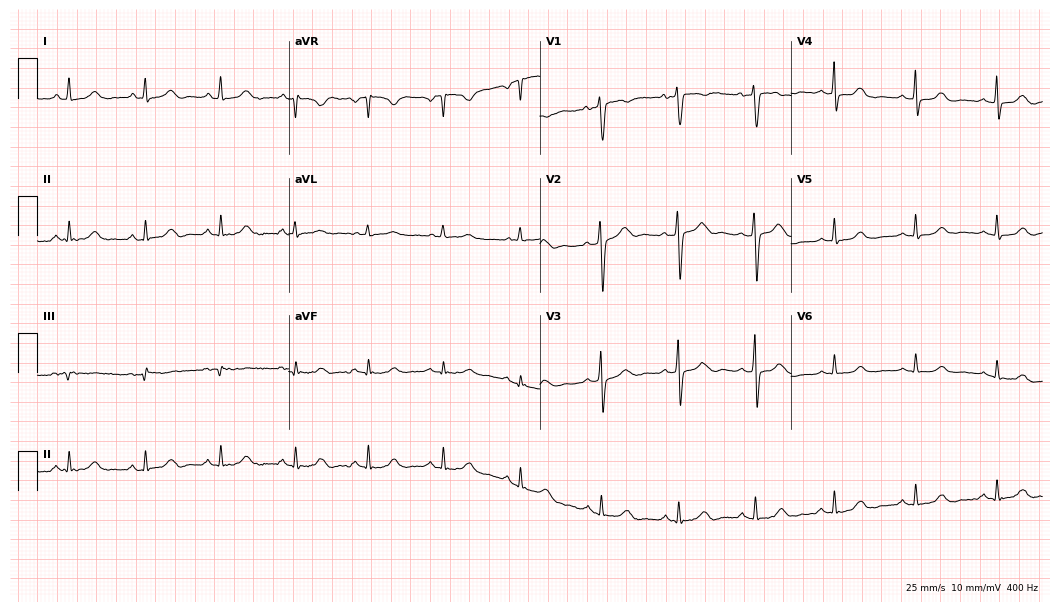
12-lead ECG (10.2-second recording at 400 Hz) from a 42-year-old woman. Labelled as a normal ECG.